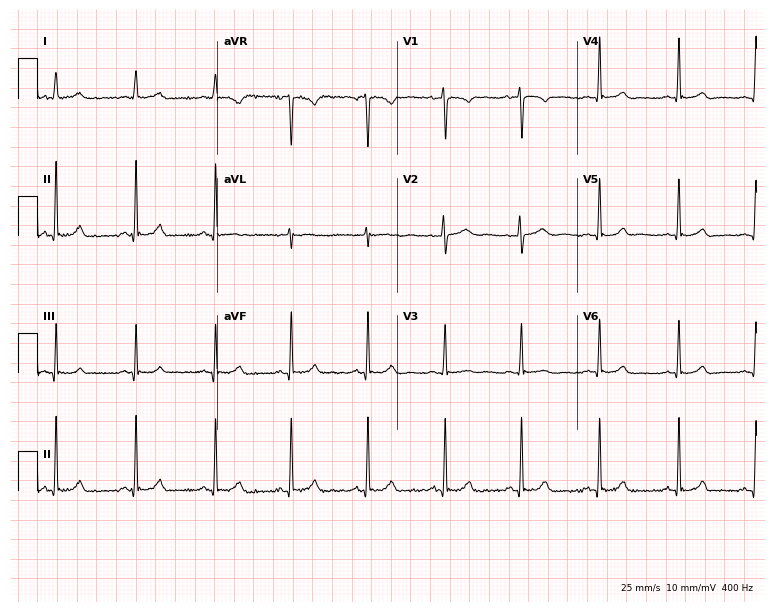
Standard 12-lead ECG recorded from an 18-year-old female patient (7.3-second recording at 400 Hz). Read as a normal ECG.